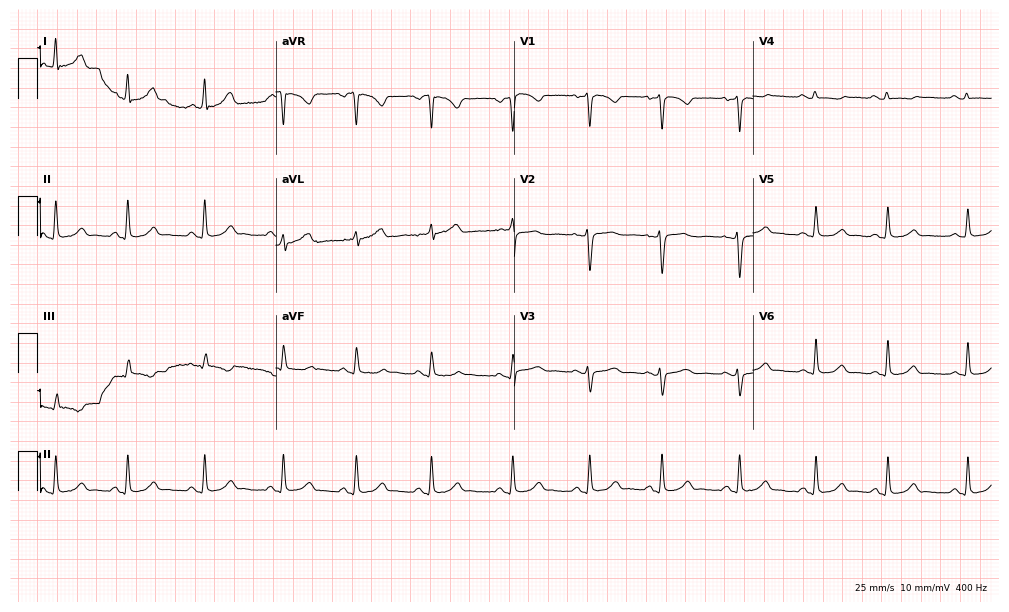
Resting 12-lead electrocardiogram. Patient: a 29-year-old female. Read as a normal ECG.